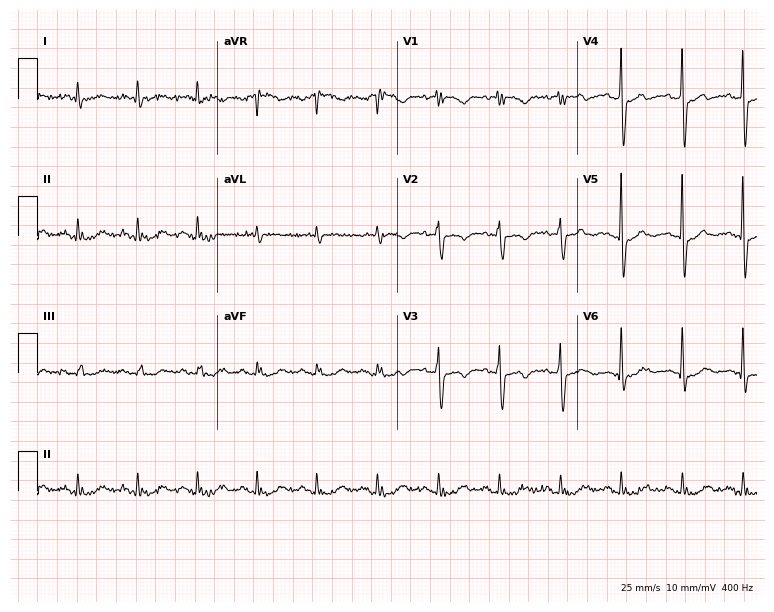
ECG (7.3-second recording at 400 Hz) — a 75-year-old male. Screened for six findings — first-degree AV block, right bundle branch block, left bundle branch block, sinus bradycardia, atrial fibrillation, sinus tachycardia — none is recorded. Only these six findings were labelled.